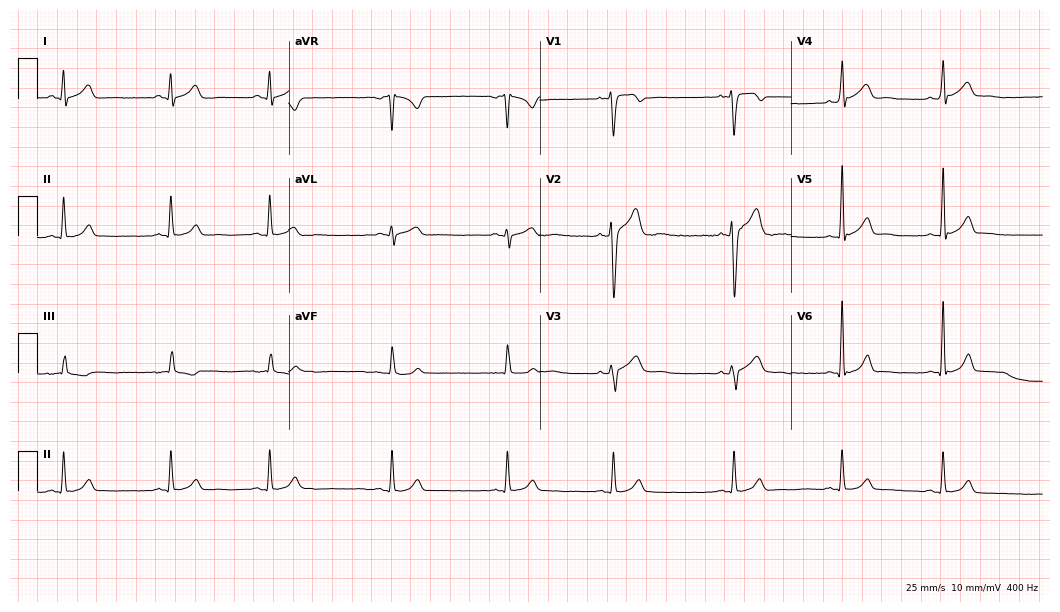
ECG — a man, 20 years old. Labelled as a normal ECG.